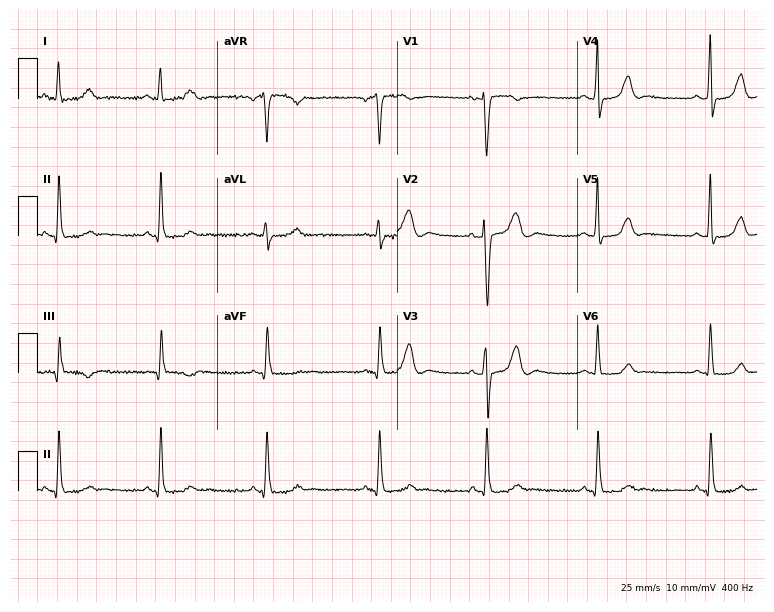
12-lead ECG from a 48-year-old female patient. Recorded interpretation: within normal limits.